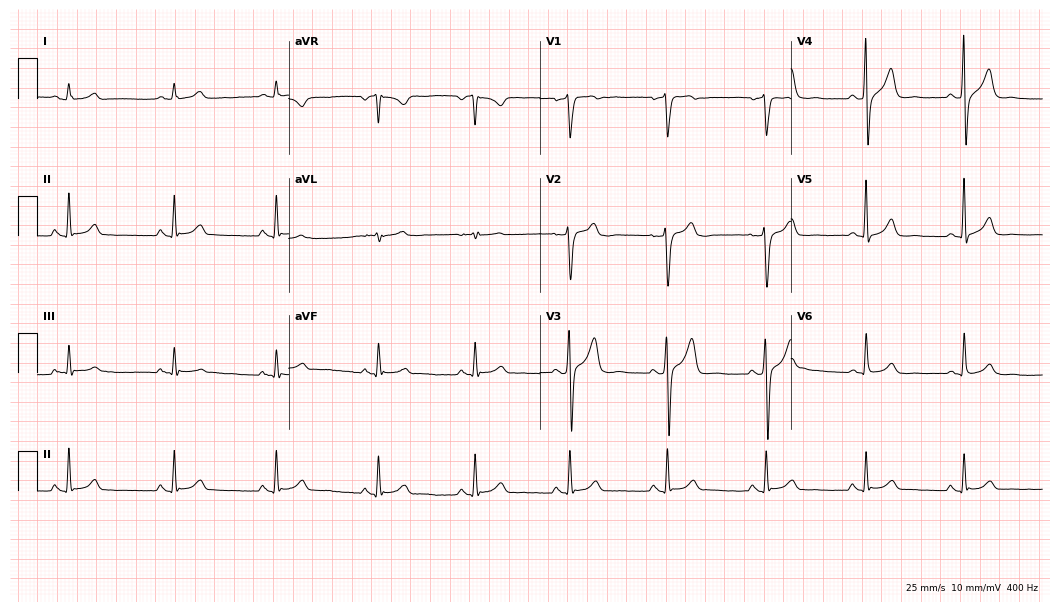
12-lead ECG from a 40-year-old male patient (10.2-second recording at 400 Hz). Recorded interpretation: within normal limits.